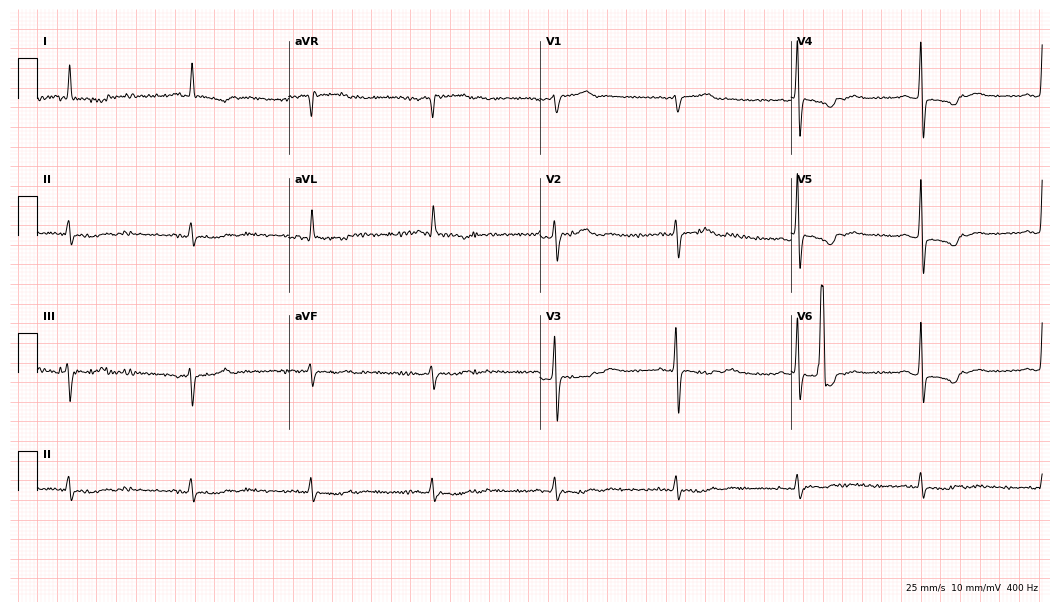
12-lead ECG from a 38-year-old male patient. Findings include sinus bradycardia (a sinus rate of 50 beats per minute or less).